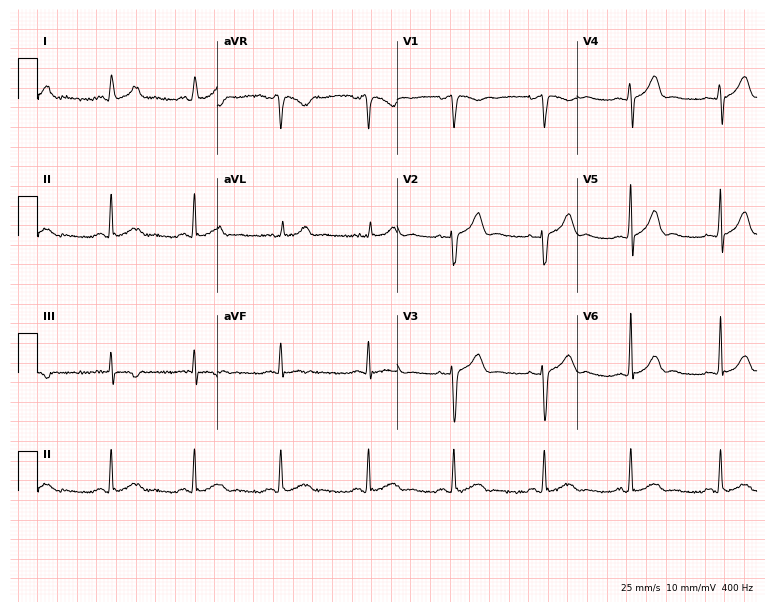
Standard 12-lead ECG recorded from a 25-year-old female patient. Read as a normal ECG.